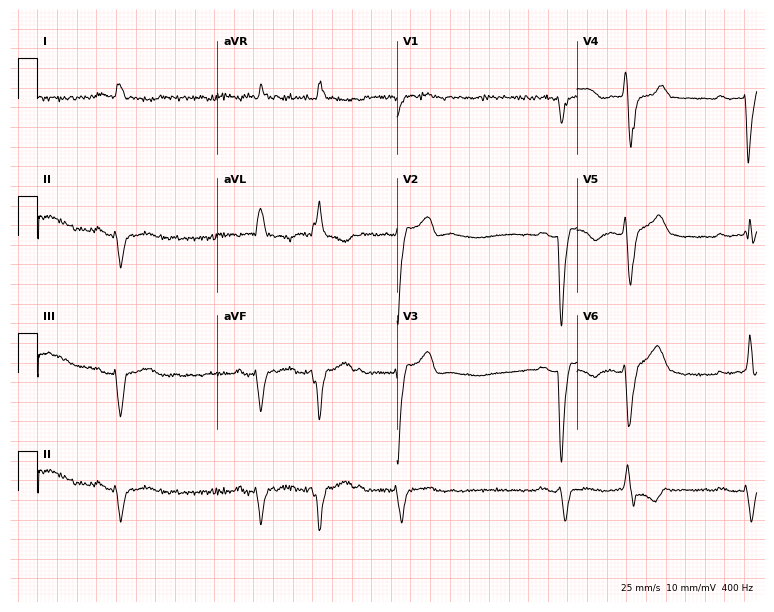
12-lead ECG from a 75-year-old male patient. Screened for six findings — first-degree AV block, right bundle branch block, left bundle branch block, sinus bradycardia, atrial fibrillation, sinus tachycardia — none is recorded.